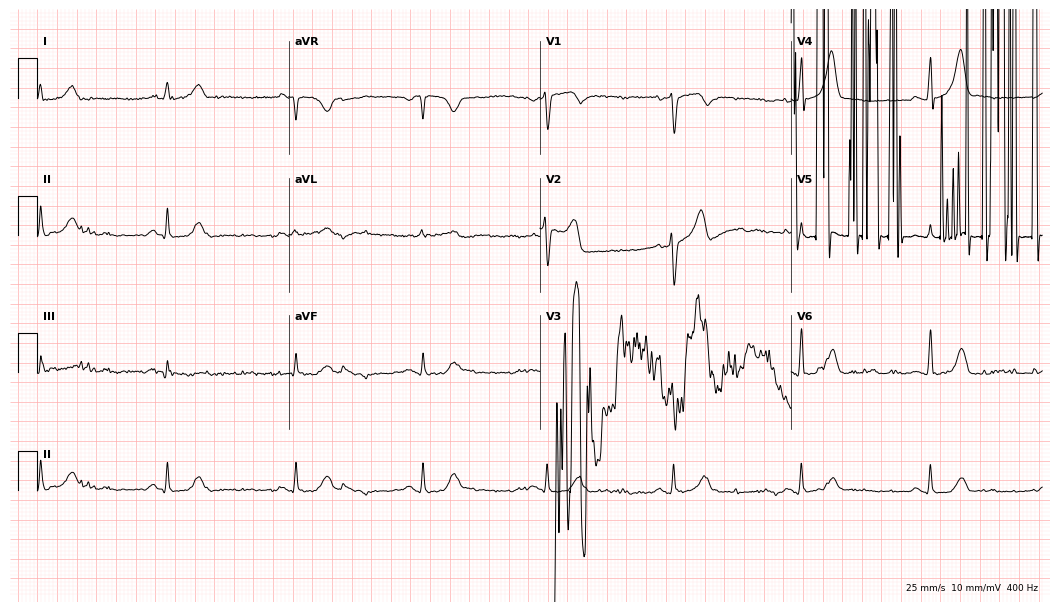
ECG — a 52-year-old male patient. Findings include sinus bradycardia (a sinus rate of 50 beats per minute or less).